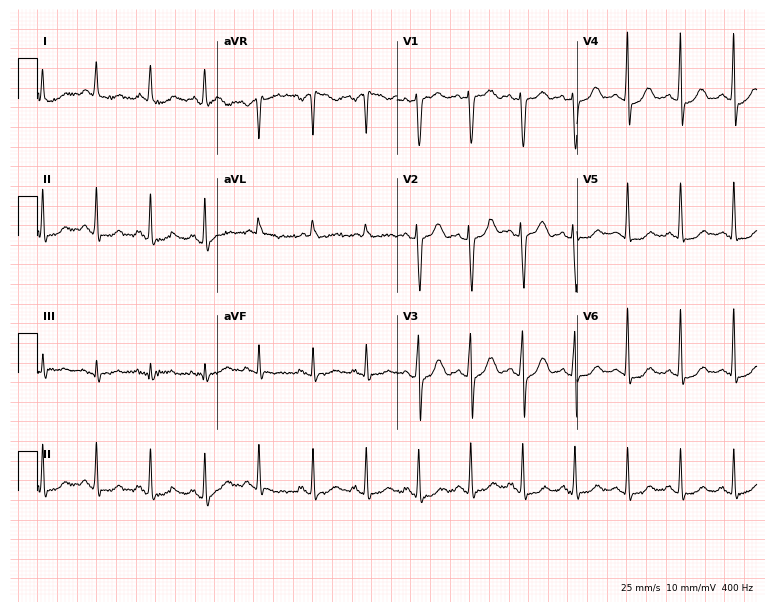
12-lead ECG from a 51-year-old female patient. Findings include sinus tachycardia (a sinus rate of 100 beats per minute or more).